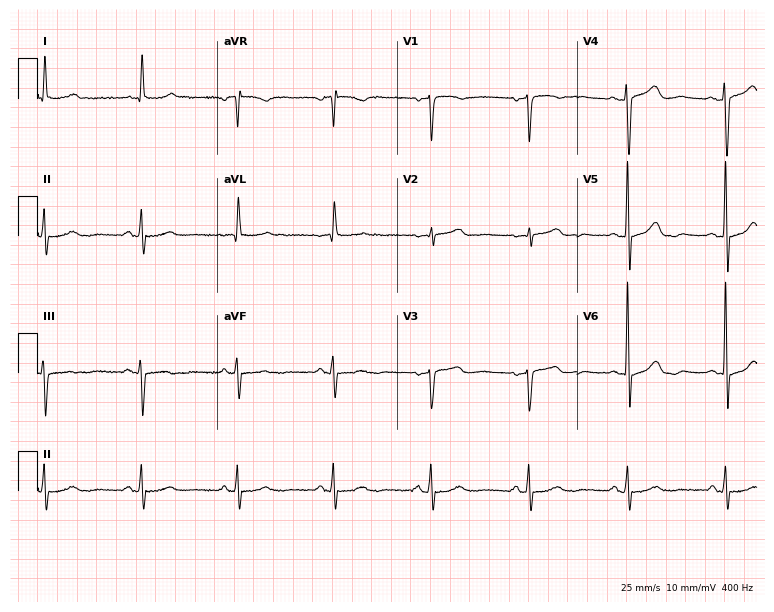
Resting 12-lead electrocardiogram. Patient: a woman, 70 years old. None of these six findings is recorded: first-degree AV block, right bundle branch block (RBBB), left bundle branch block (LBBB), sinus bradycardia, atrial fibrillation (AF), sinus tachycardia. Other findings, if any, are not listed.